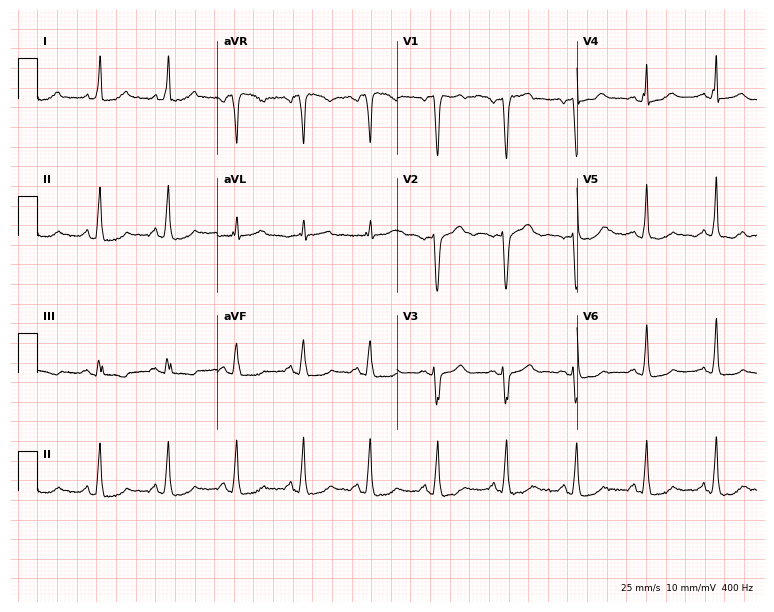
12-lead ECG from a woman, 58 years old. Screened for six findings — first-degree AV block, right bundle branch block, left bundle branch block, sinus bradycardia, atrial fibrillation, sinus tachycardia — none is recorded.